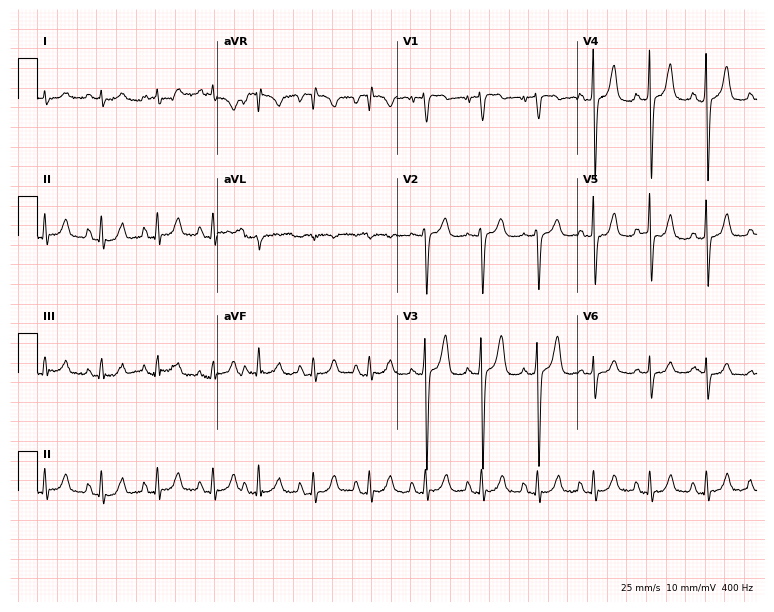
Electrocardiogram, a 64-year-old man. Interpretation includes sinus tachycardia (a sinus rate of 100 beats per minute or more).